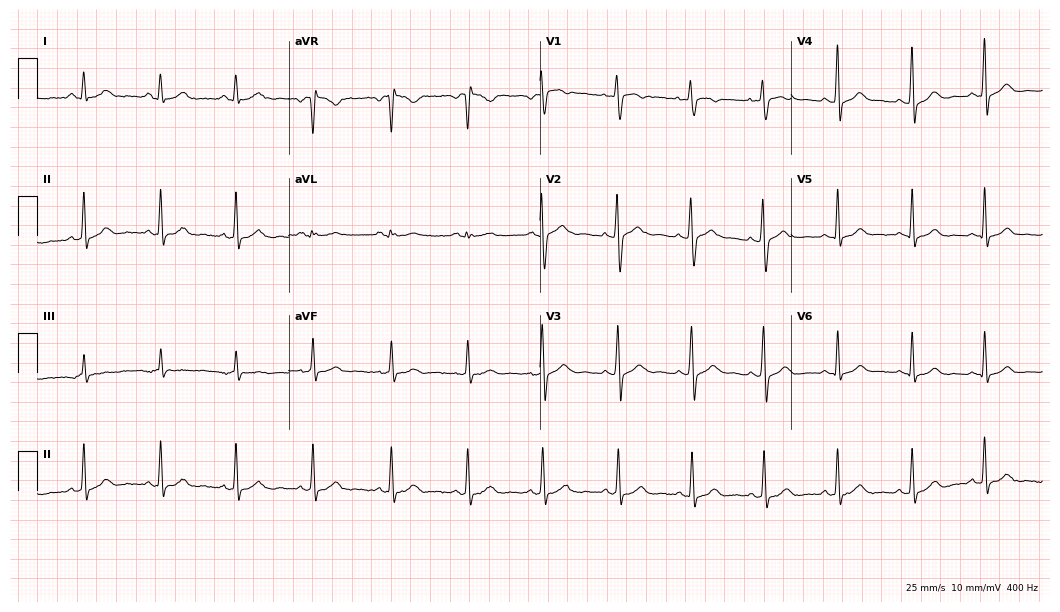
Electrocardiogram (10.2-second recording at 400 Hz), a female, 39 years old. Of the six screened findings (first-degree AV block, right bundle branch block (RBBB), left bundle branch block (LBBB), sinus bradycardia, atrial fibrillation (AF), sinus tachycardia), none is recorded.